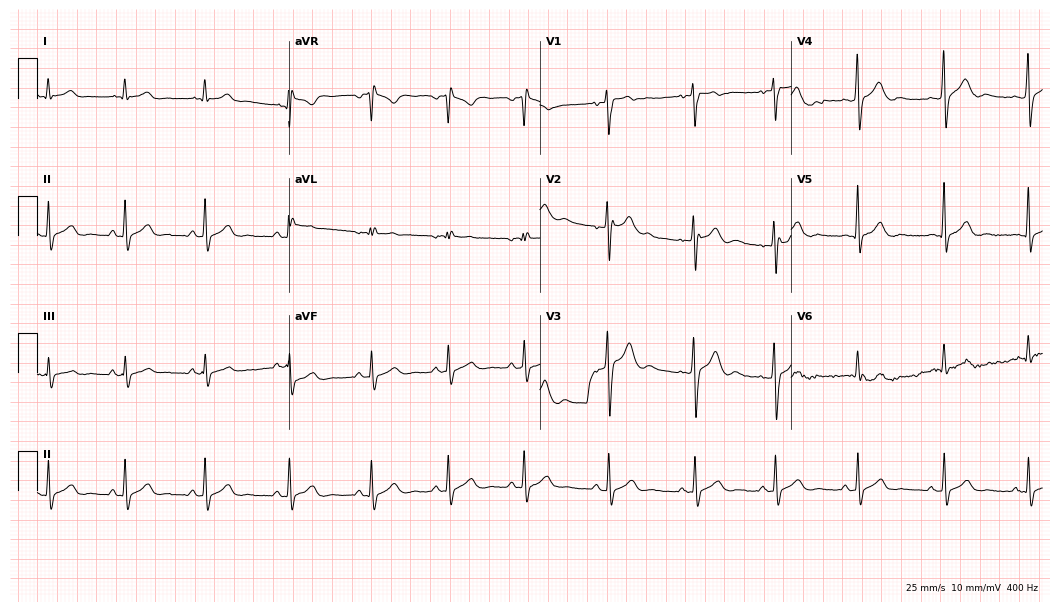
Electrocardiogram (10.2-second recording at 400 Hz), a 19-year-old man. Overall reading on record: normal ECG.